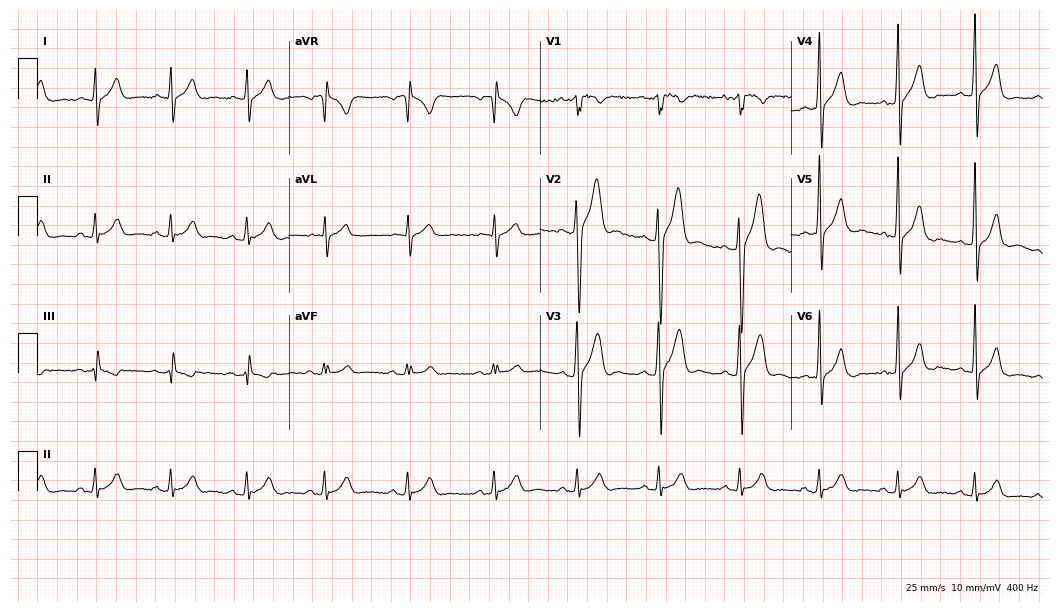
Resting 12-lead electrocardiogram. Patient: a 28-year-old man. Read as a normal ECG.